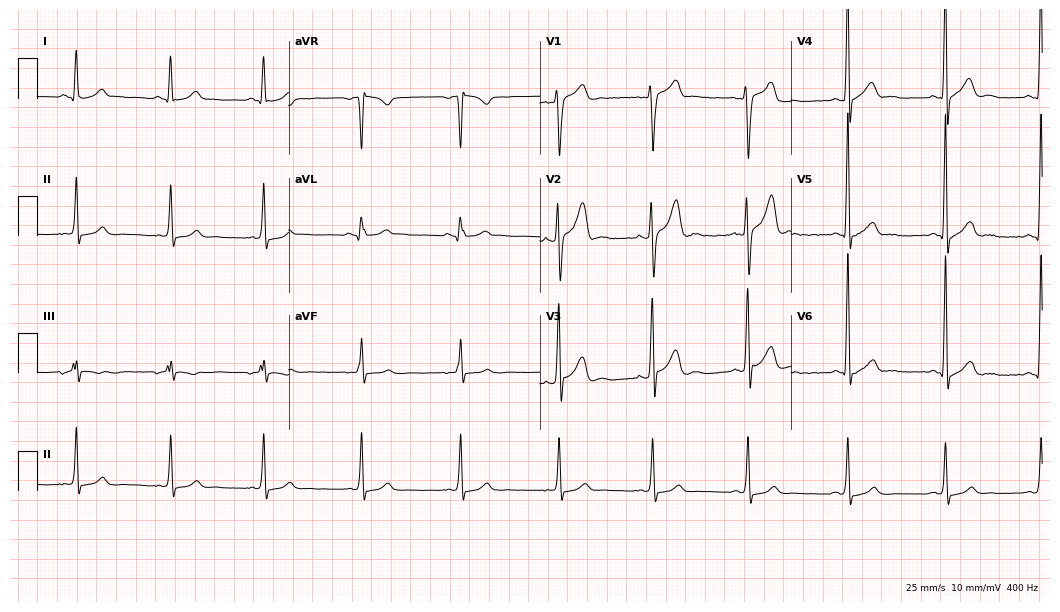
12-lead ECG from a man, 22 years old. Recorded interpretation: within normal limits.